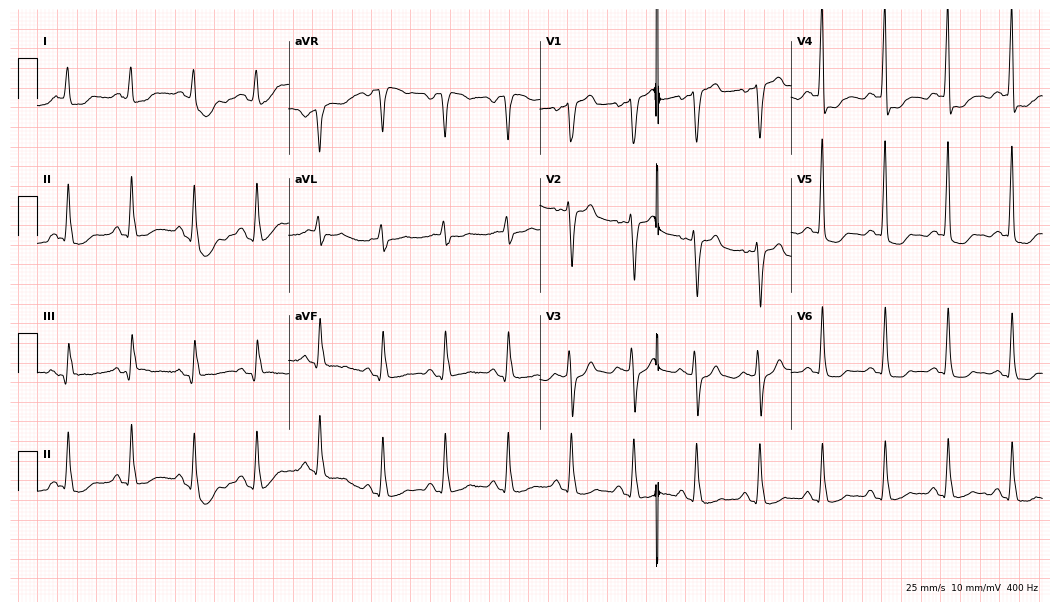
12-lead ECG from a 53-year-old woman. Screened for six findings — first-degree AV block, right bundle branch block (RBBB), left bundle branch block (LBBB), sinus bradycardia, atrial fibrillation (AF), sinus tachycardia — none is recorded. Other findings, if any, are not listed.